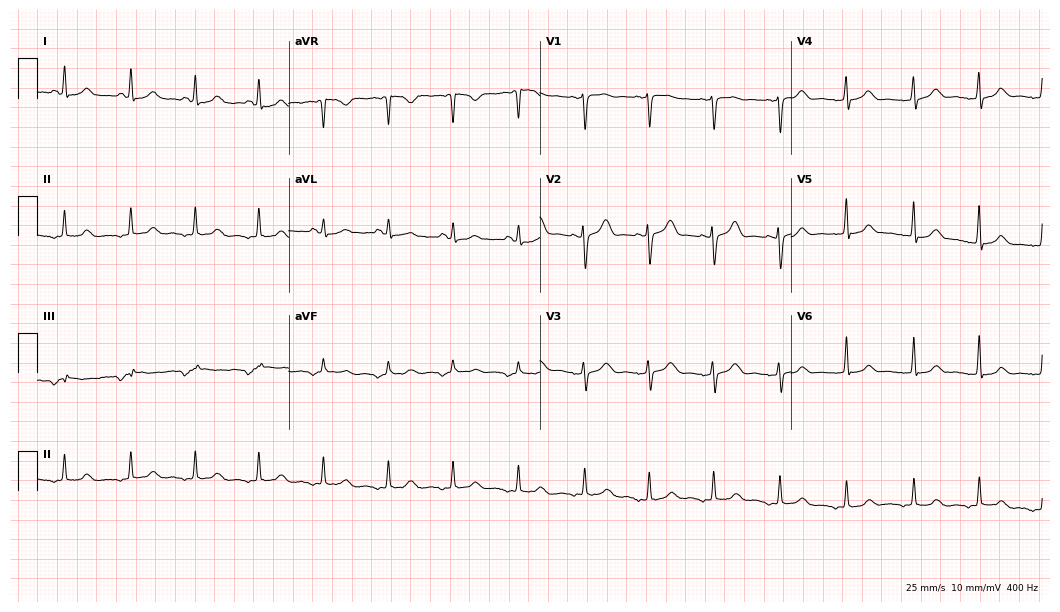
Standard 12-lead ECG recorded from a 42-year-old female (10.2-second recording at 400 Hz). None of these six findings is recorded: first-degree AV block, right bundle branch block, left bundle branch block, sinus bradycardia, atrial fibrillation, sinus tachycardia.